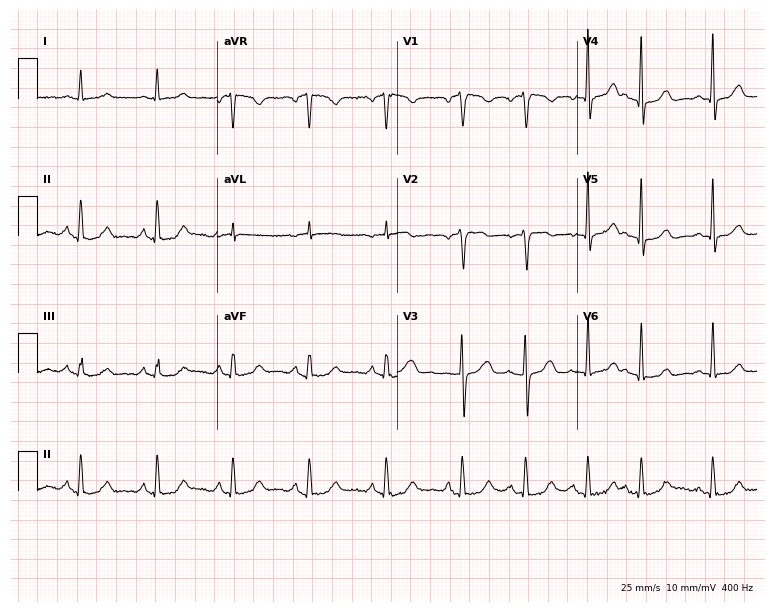
Electrocardiogram, a female, 66 years old. Overall reading on record: normal ECG.